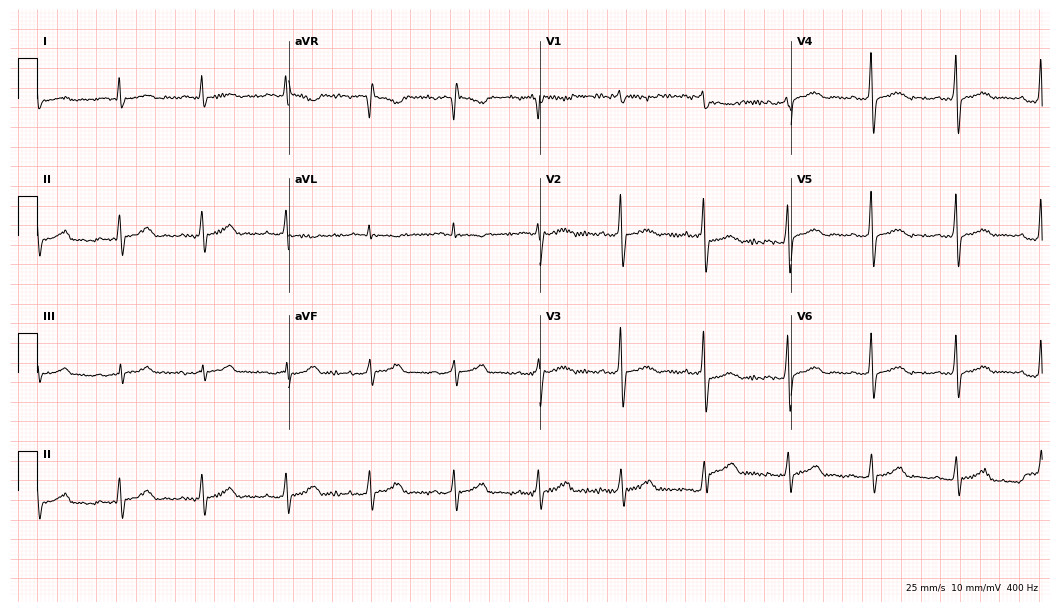
ECG (10.2-second recording at 400 Hz) — a female, 59 years old. Screened for six findings — first-degree AV block, right bundle branch block, left bundle branch block, sinus bradycardia, atrial fibrillation, sinus tachycardia — none is recorded.